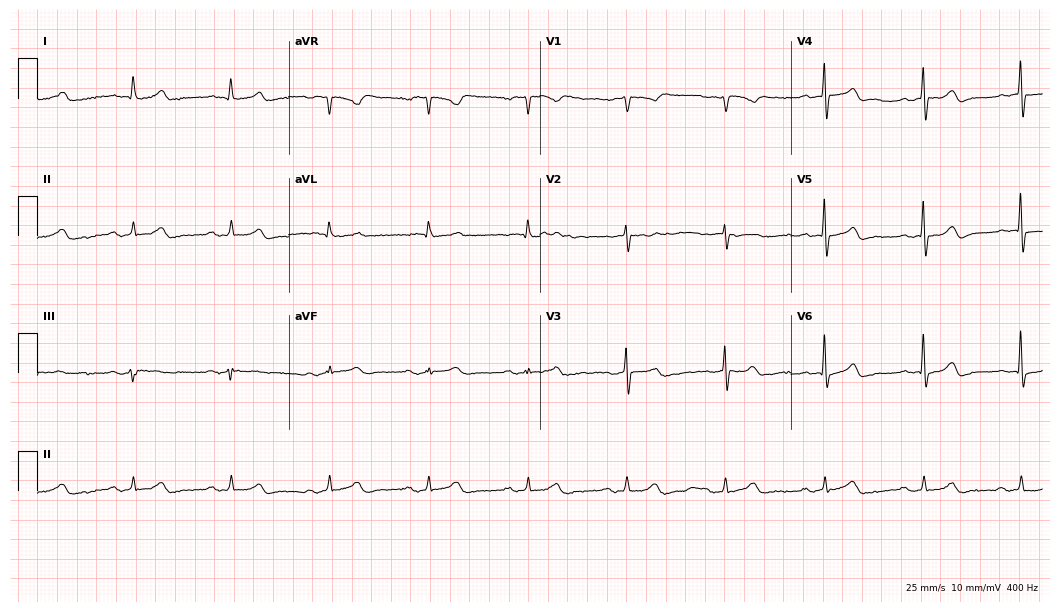
Electrocardiogram, a man, 84 years old. Overall reading on record: normal ECG.